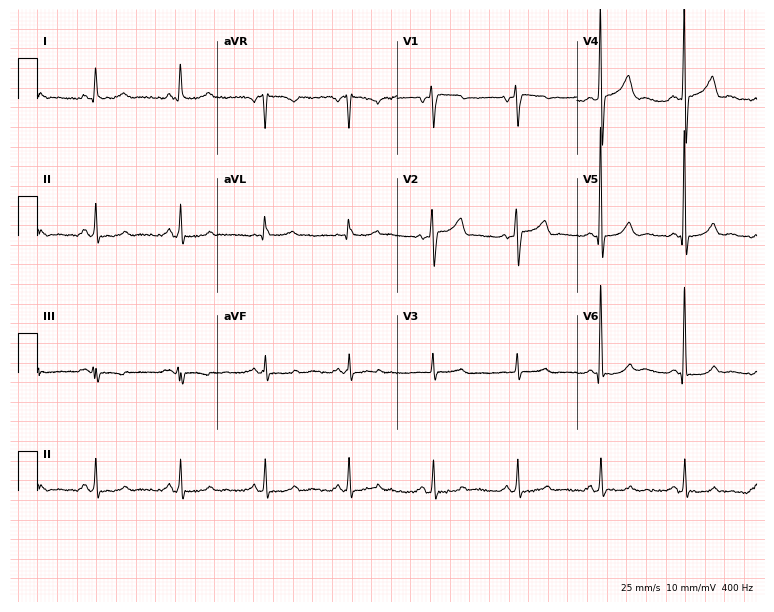
Resting 12-lead electrocardiogram. Patient: a 53-year-old male. None of these six findings is recorded: first-degree AV block, right bundle branch block, left bundle branch block, sinus bradycardia, atrial fibrillation, sinus tachycardia.